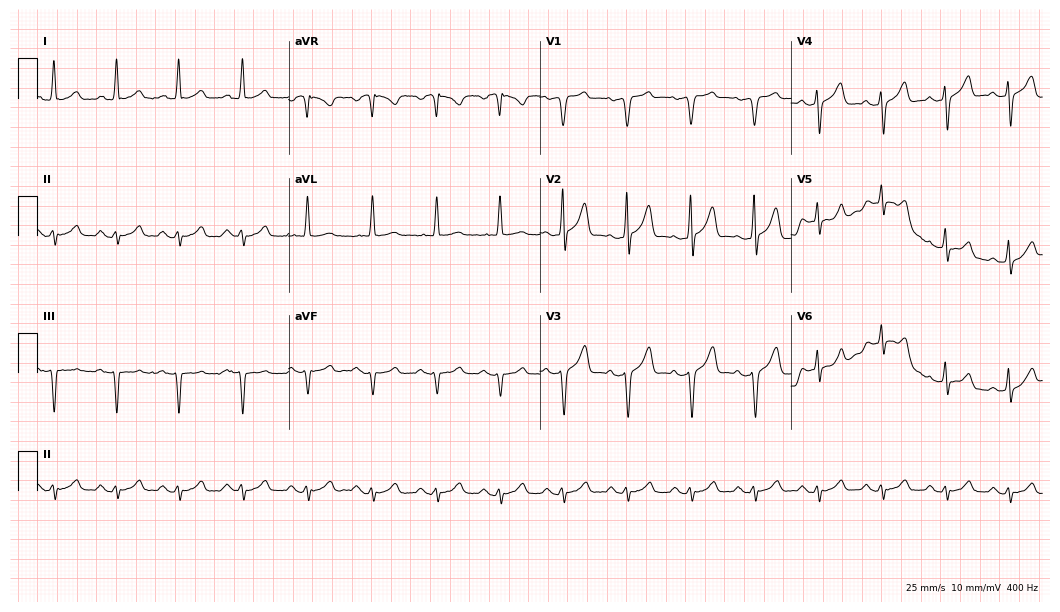
12-lead ECG (10.2-second recording at 400 Hz) from a male patient, 71 years old. Screened for six findings — first-degree AV block, right bundle branch block (RBBB), left bundle branch block (LBBB), sinus bradycardia, atrial fibrillation (AF), sinus tachycardia — none is recorded. Findings outside these six are not listed.